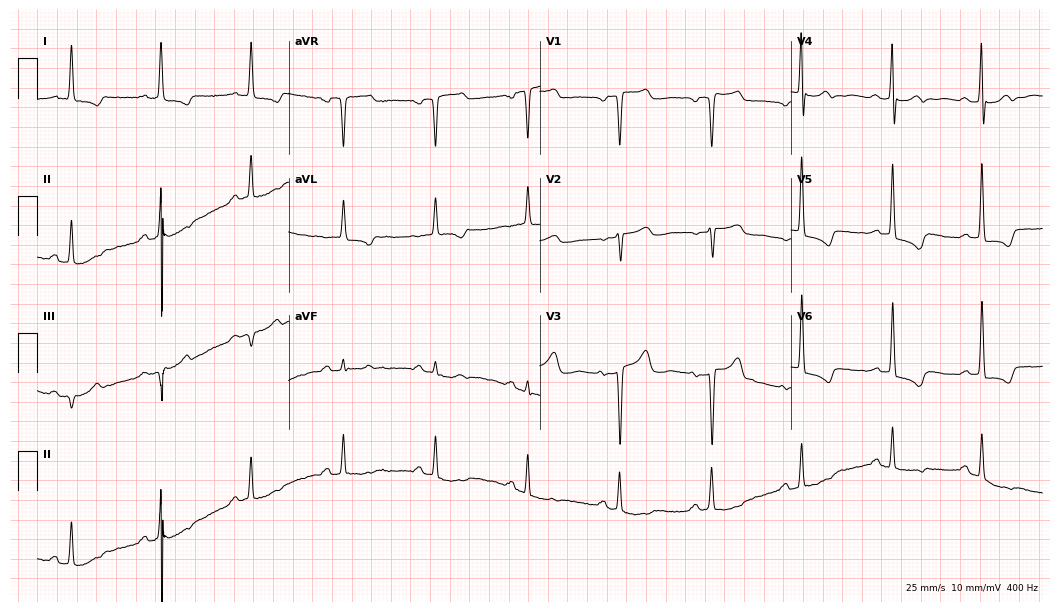
Resting 12-lead electrocardiogram. Patient: a female, 84 years old. Read as a normal ECG.